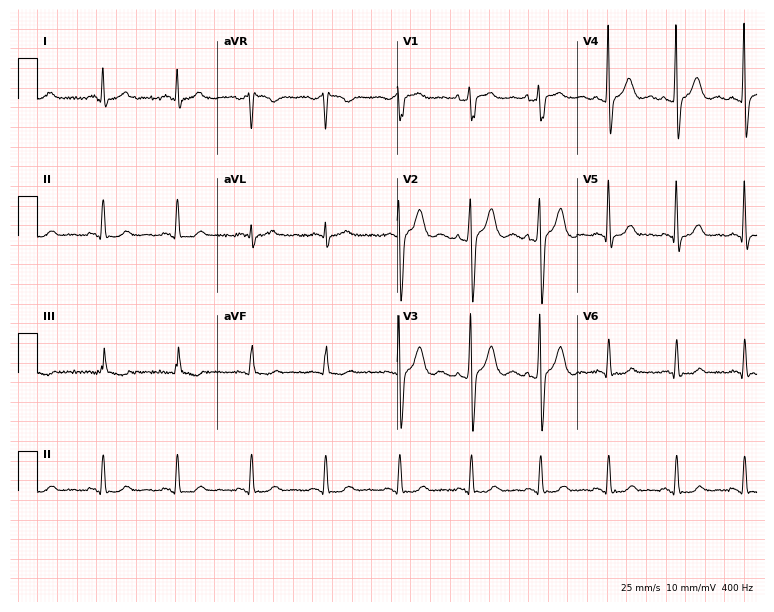
12-lead ECG from a male, 45 years old. Screened for six findings — first-degree AV block, right bundle branch block, left bundle branch block, sinus bradycardia, atrial fibrillation, sinus tachycardia — none is recorded. Findings outside these six are not listed.